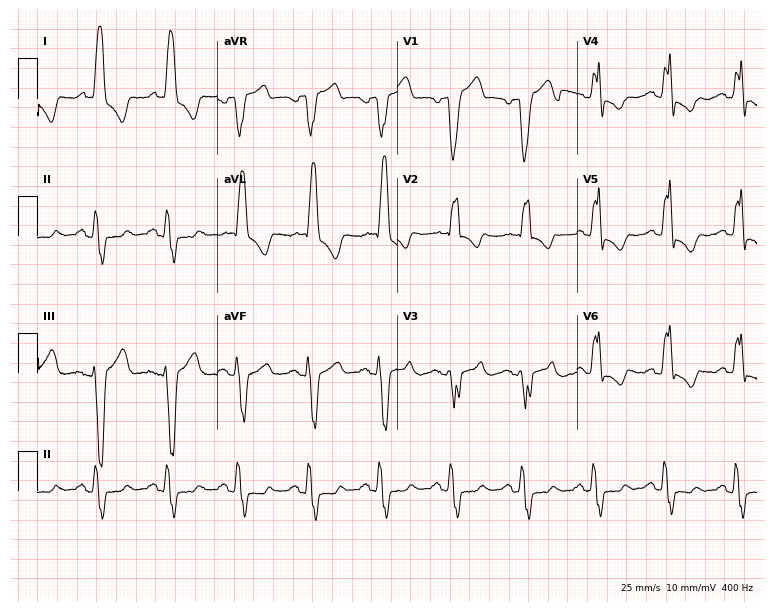
ECG — a female patient, 80 years old. Findings include left bundle branch block.